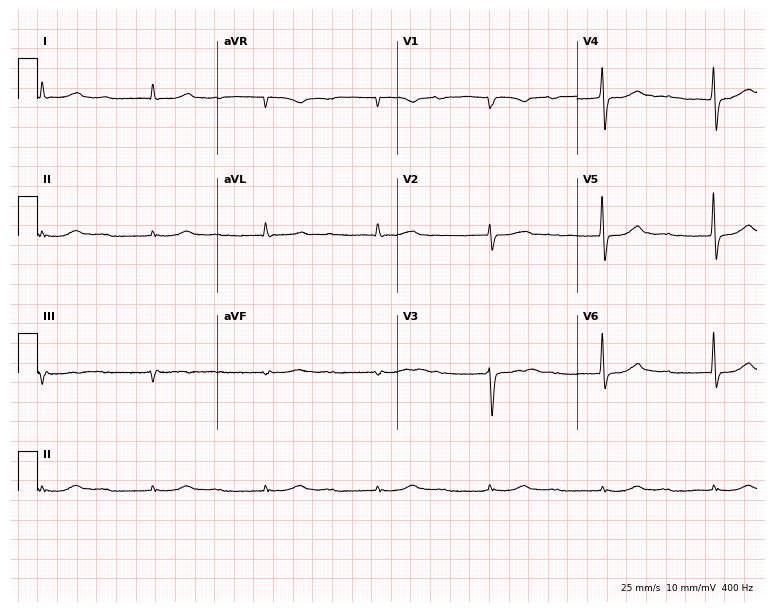
Resting 12-lead electrocardiogram (7.3-second recording at 400 Hz). Patient: an 80-year-old man. The tracing shows first-degree AV block.